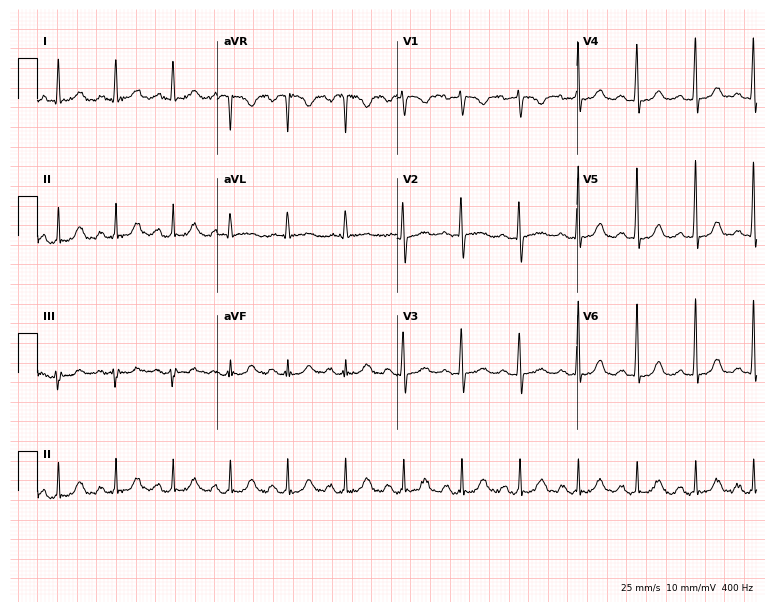
Electrocardiogram (7.3-second recording at 400 Hz), a woman, 59 years old. Of the six screened findings (first-degree AV block, right bundle branch block, left bundle branch block, sinus bradycardia, atrial fibrillation, sinus tachycardia), none is recorded.